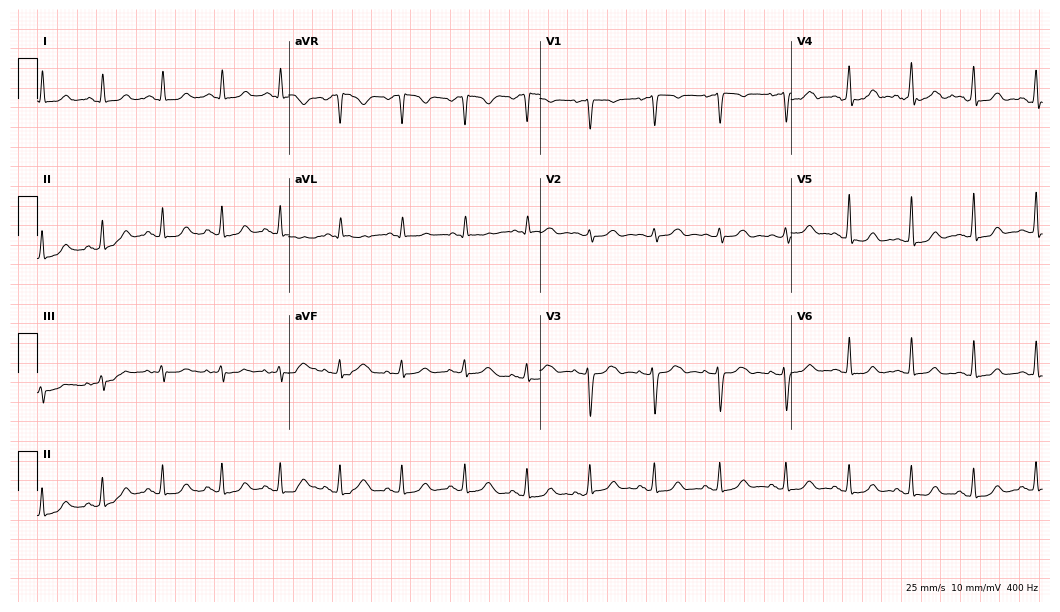
Standard 12-lead ECG recorded from a 46-year-old female (10.2-second recording at 400 Hz). Read as a normal ECG.